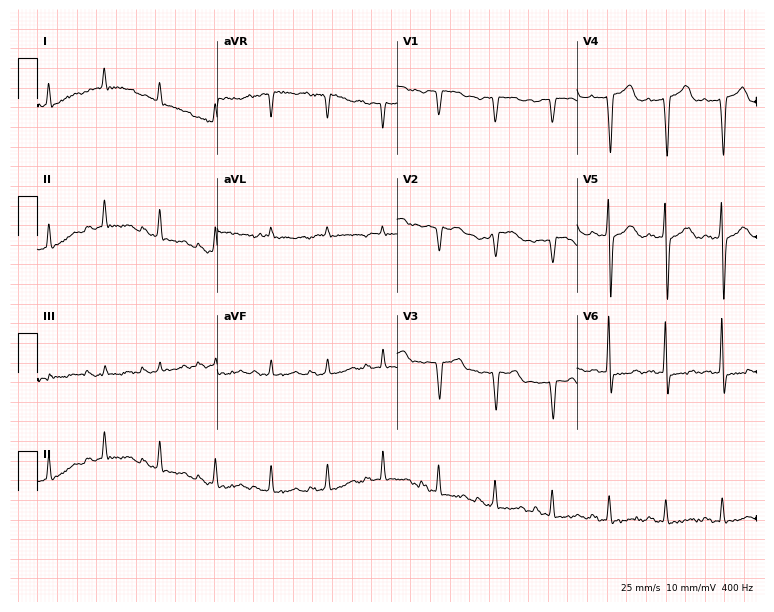
ECG (7.3-second recording at 400 Hz) — a 71-year-old female patient. Screened for six findings — first-degree AV block, right bundle branch block, left bundle branch block, sinus bradycardia, atrial fibrillation, sinus tachycardia — none is recorded. Findings outside these six are not listed.